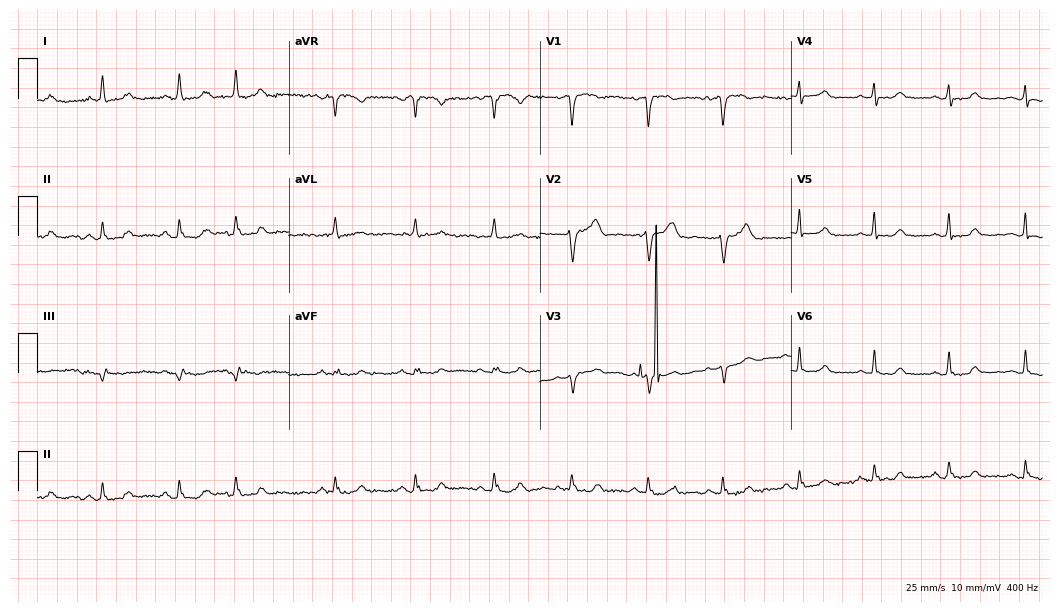
ECG (10.2-second recording at 400 Hz) — a 74-year-old female patient. Screened for six findings — first-degree AV block, right bundle branch block, left bundle branch block, sinus bradycardia, atrial fibrillation, sinus tachycardia — none is recorded. Findings outside these six are not listed.